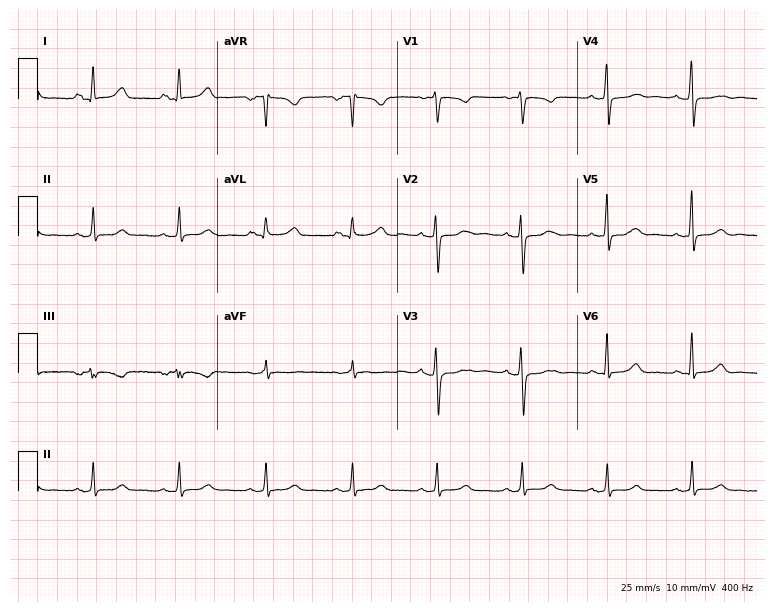
12-lead ECG from a female, 56 years old. Labelled as a normal ECG.